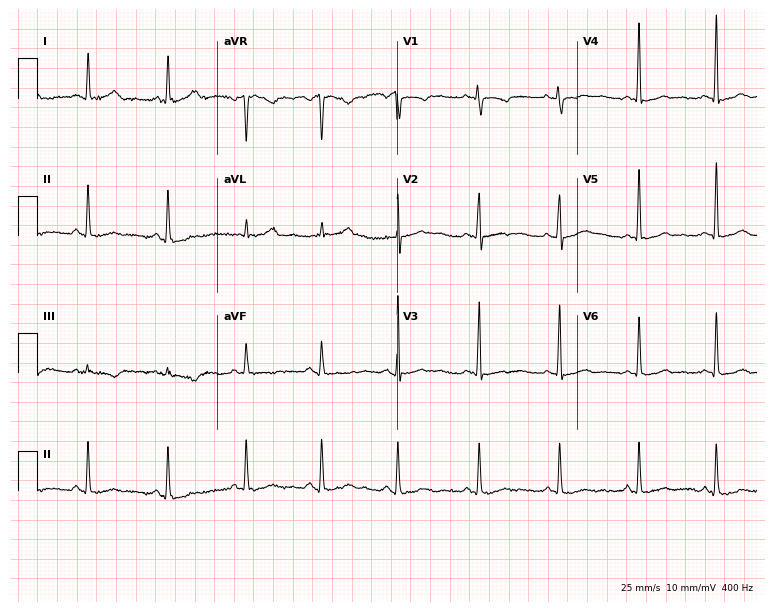
12-lead ECG from a female, 36 years old (7.3-second recording at 400 Hz). No first-degree AV block, right bundle branch block, left bundle branch block, sinus bradycardia, atrial fibrillation or sinus tachycardia recorded for this tracing.